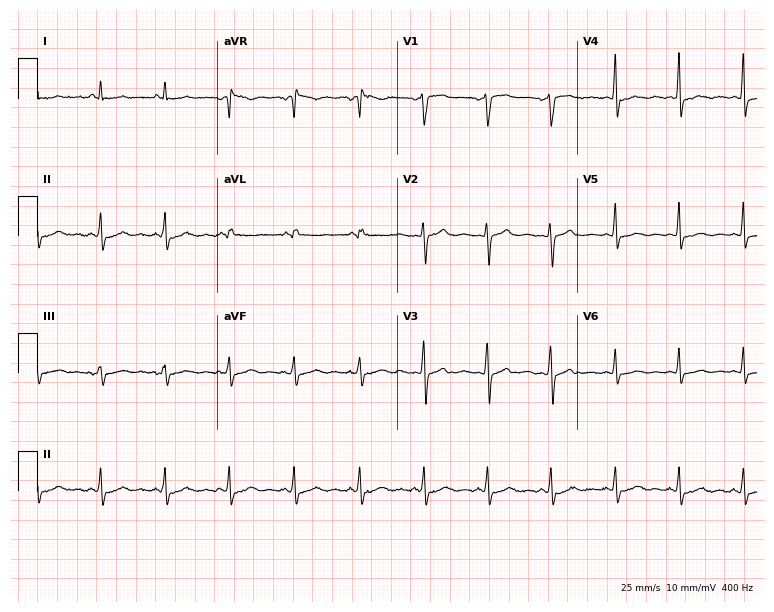
Standard 12-lead ECG recorded from a female, 30 years old. Read as a normal ECG.